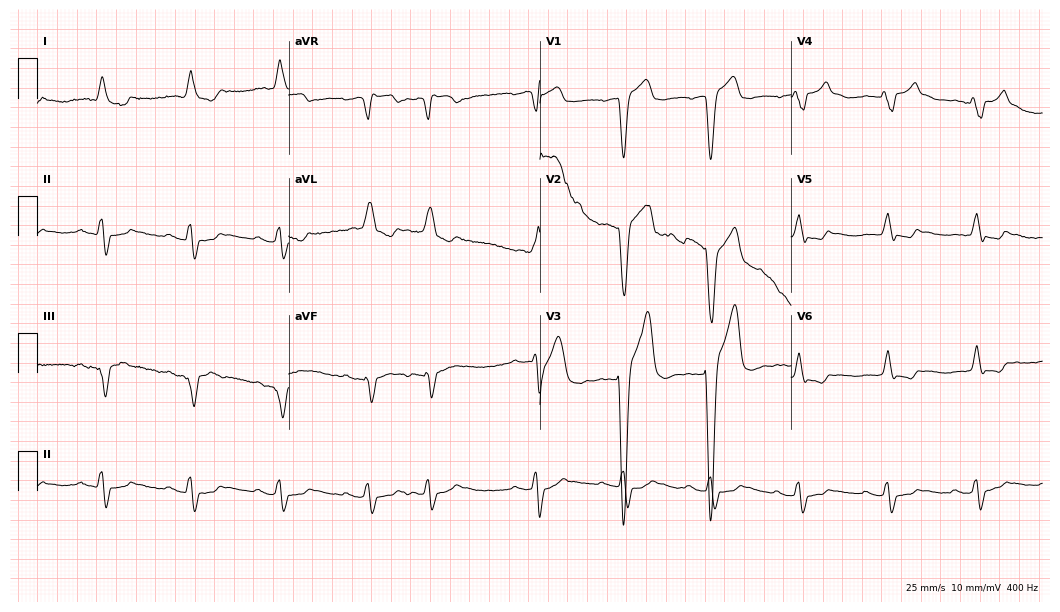
Electrocardiogram (10.2-second recording at 400 Hz), a male, 82 years old. Of the six screened findings (first-degree AV block, right bundle branch block (RBBB), left bundle branch block (LBBB), sinus bradycardia, atrial fibrillation (AF), sinus tachycardia), none is recorded. Other findings, if any, are not listed.